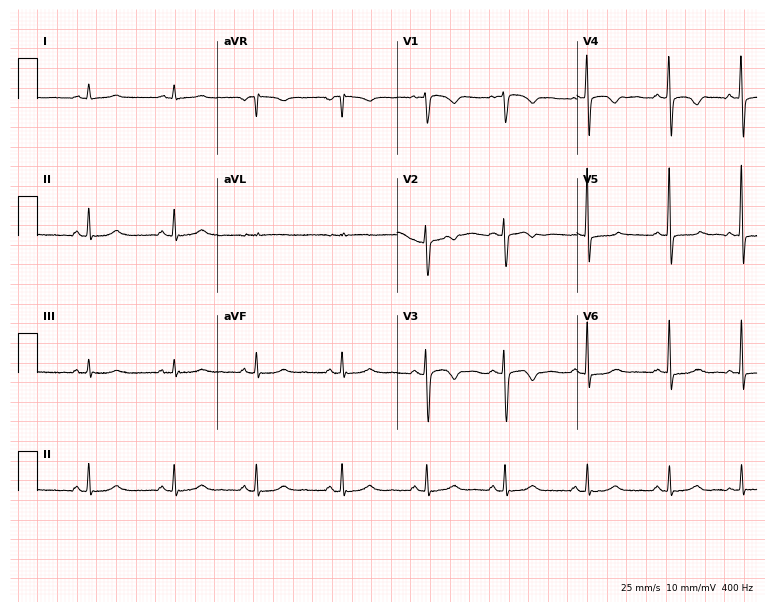
Resting 12-lead electrocardiogram. Patient: a woman, 37 years old. None of these six findings is recorded: first-degree AV block, right bundle branch block (RBBB), left bundle branch block (LBBB), sinus bradycardia, atrial fibrillation (AF), sinus tachycardia.